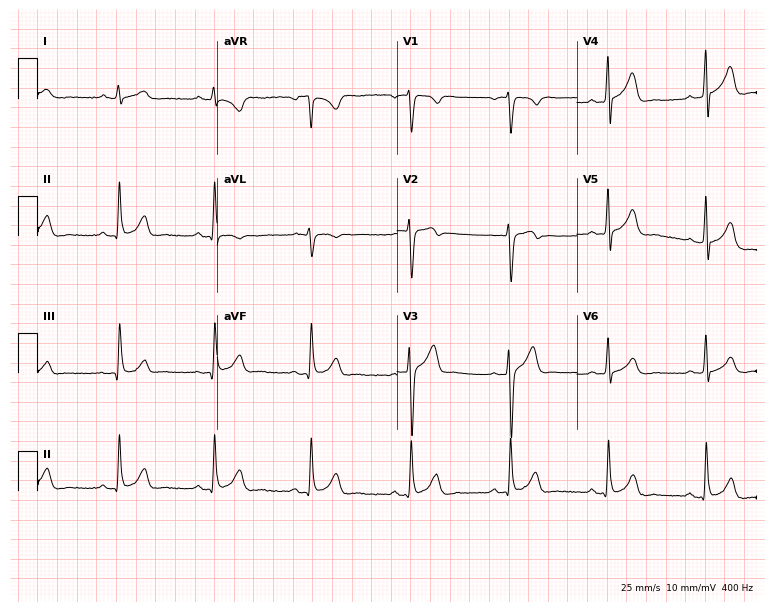
12-lead ECG from a 31-year-old male (7.3-second recording at 400 Hz). No first-degree AV block, right bundle branch block, left bundle branch block, sinus bradycardia, atrial fibrillation or sinus tachycardia recorded for this tracing.